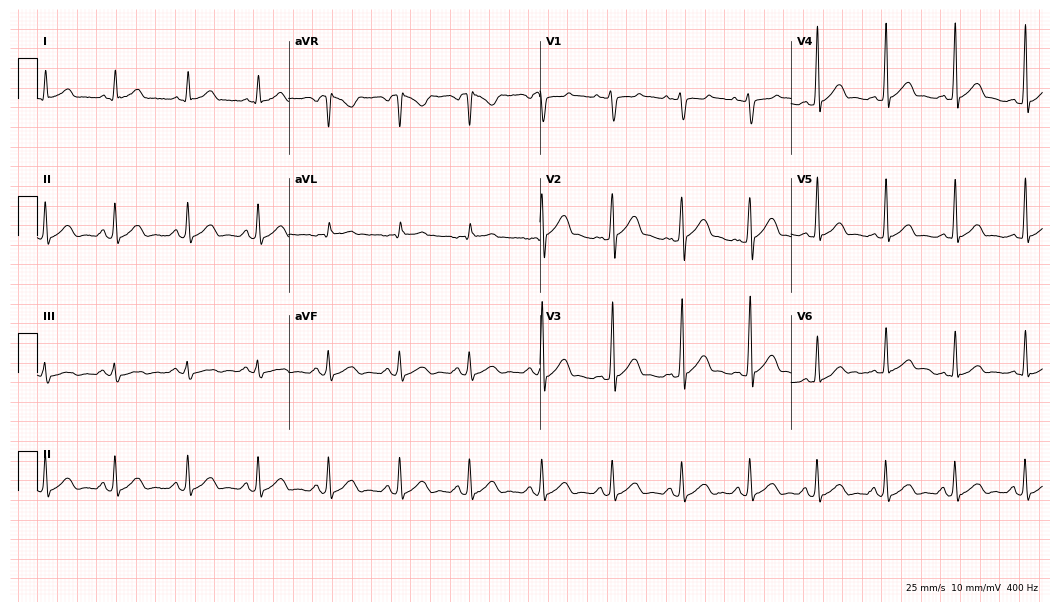
Resting 12-lead electrocardiogram. Patient: a 33-year-old man. Read as a normal ECG.